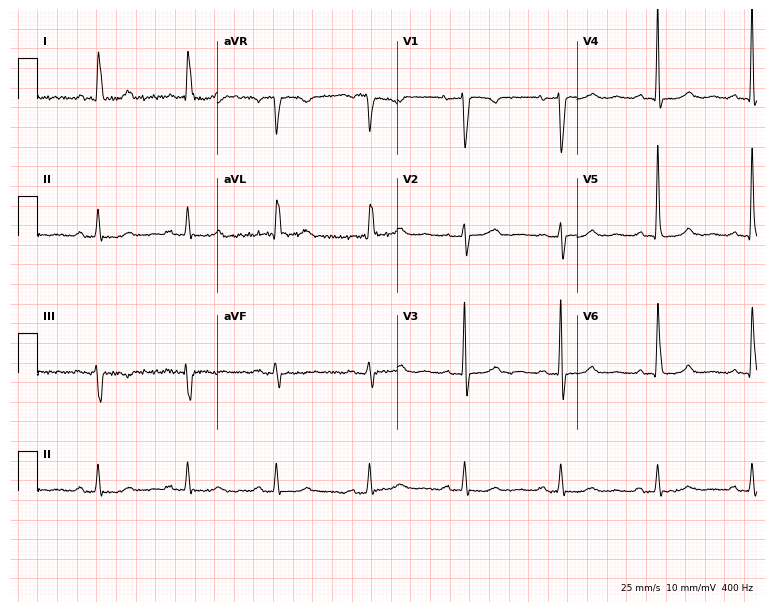
12-lead ECG from a 70-year-old female. Recorded interpretation: within normal limits.